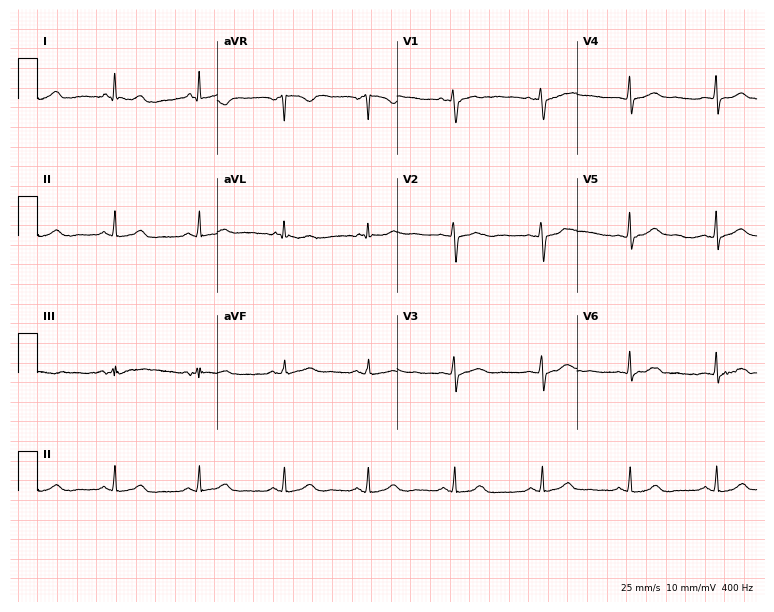
ECG — a woman, 42 years old. Labelled as a normal ECG.